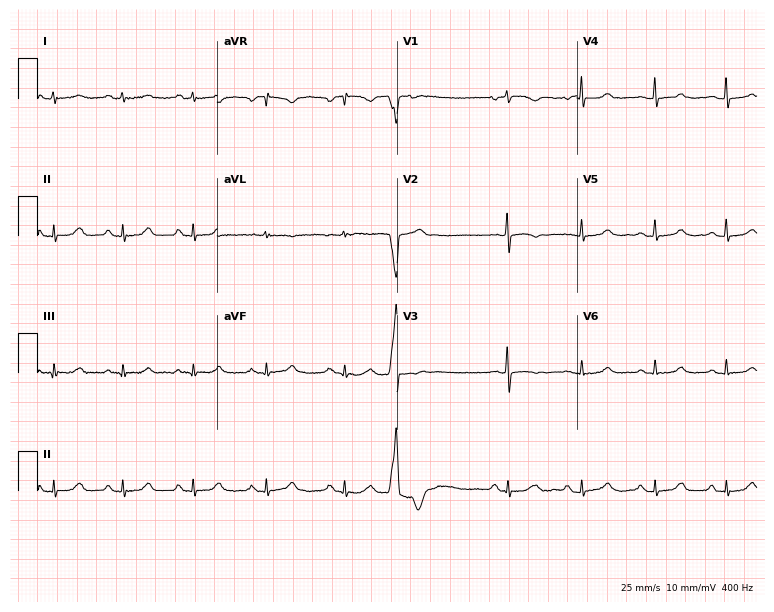
Resting 12-lead electrocardiogram (7.3-second recording at 400 Hz). Patient: a 60-year-old female. None of these six findings is recorded: first-degree AV block, right bundle branch block (RBBB), left bundle branch block (LBBB), sinus bradycardia, atrial fibrillation (AF), sinus tachycardia. Only these six findings were labelled.